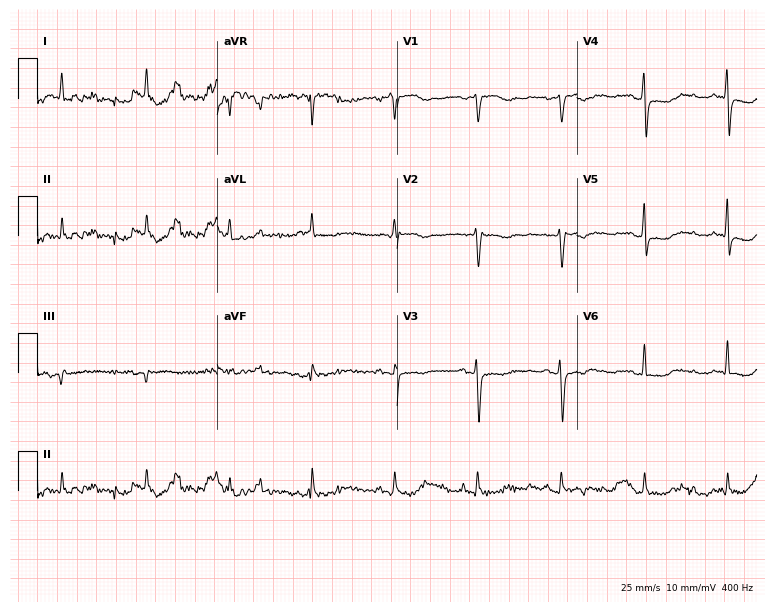
12-lead ECG (7.3-second recording at 400 Hz) from a female, 60 years old. Screened for six findings — first-degree AV block, right bundle branch block, left bundle branch block, sinus bradycardia, atrial fibrillation, sinus tachycardia — none is recorded.